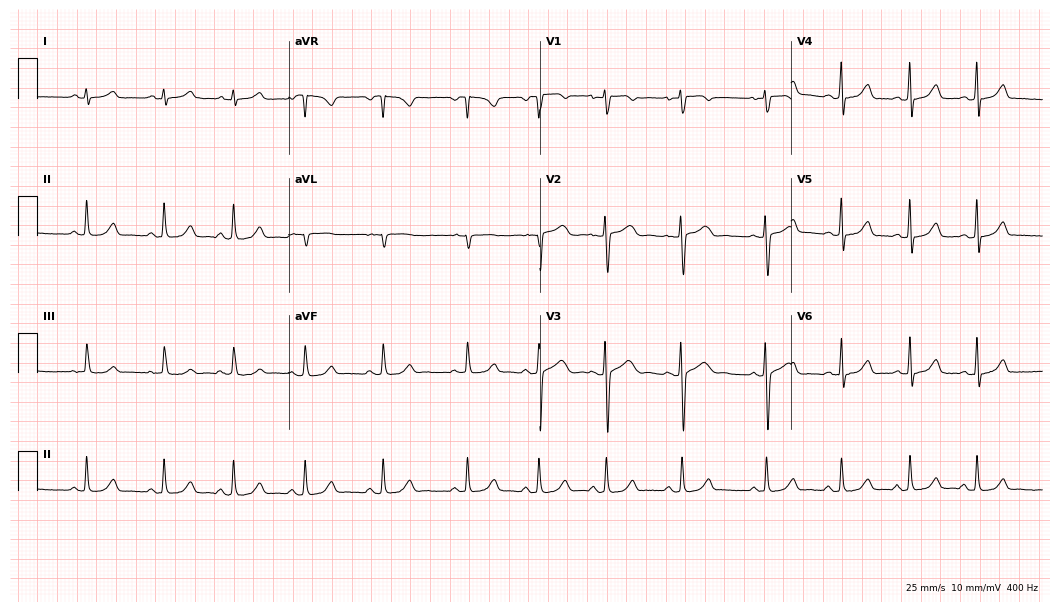
ECG — a woman, 17 years old. Screened for six findings — first-degree AV block, right bundle branch block, left bundle branch block, sinus bradycardia, atrial fibrillation, sinus tachycardia — none is recorded.